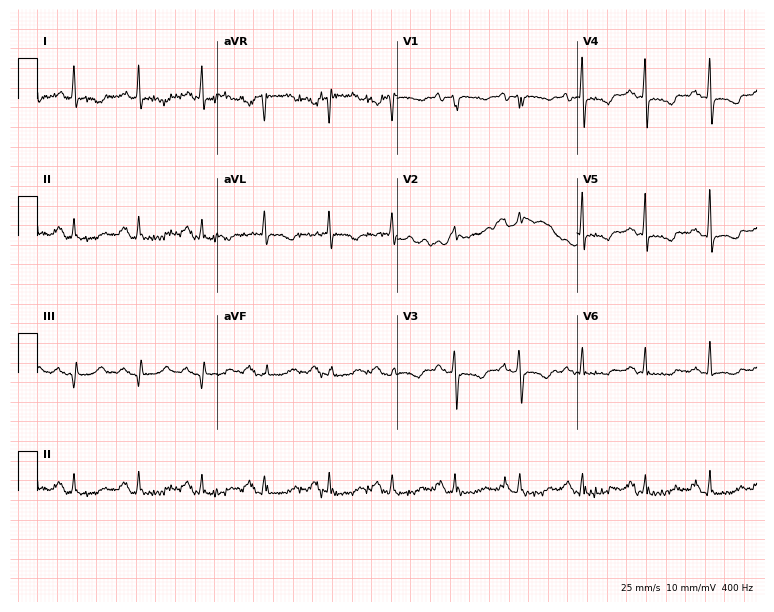
12-lead ECG from a woman, 73 years old. No first-degree AV block, right bundle branch block, left bundle branch block, sinus bradycardia, atrial fibrillation or sinus tachycardia recorded for this tracing. Only these six findings were labelled.